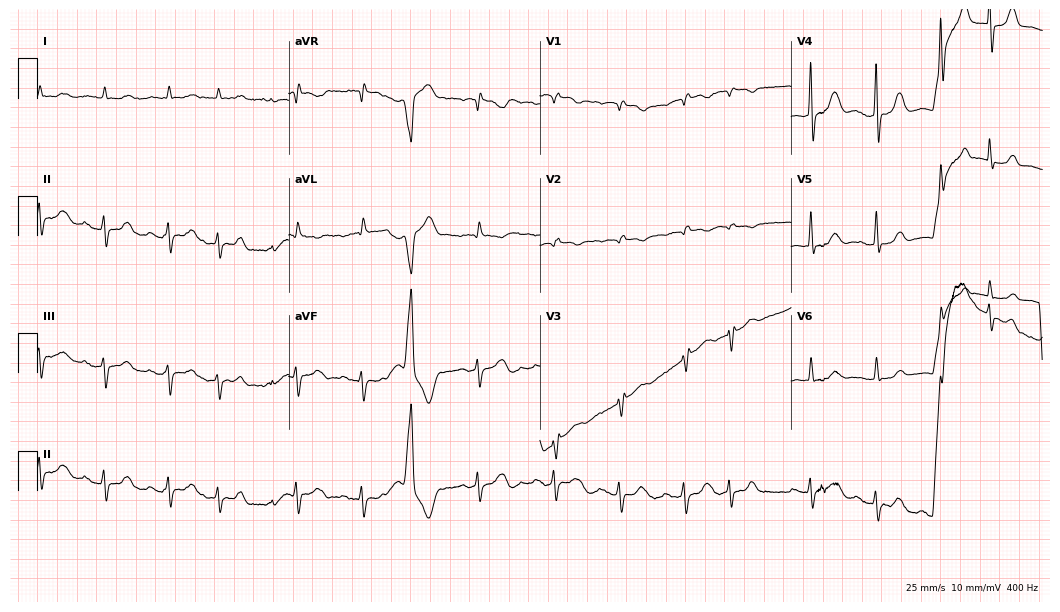
Resting 12-lead electrocardiogram (10.2-second recording at 400 Hz). Patient: a female, 76 years old. None of these six findings is recorded: first-degree AV block, right bundle branch block, left bundle branch block, sinus bradycardia, atrial fibrillation, sinus tachycardia. Findings outside these six are not listed.